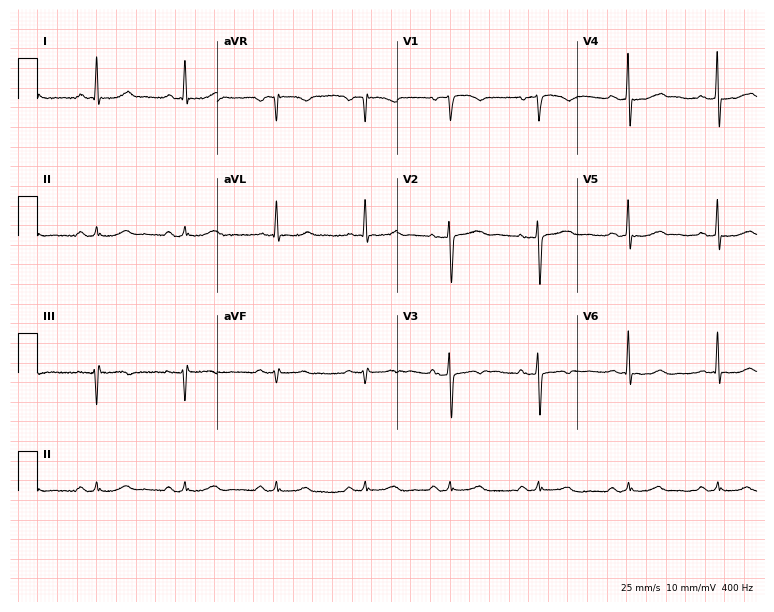
Electrocardiogram, a female patient, 64 years old. Of the six screened findings (first-degree AV block, right bundle branch block (RBBB), left bundle branch block (LBBB), sinus bradycardia, atrial fibrillation (AF), sinus tachycardia), none is recorded.